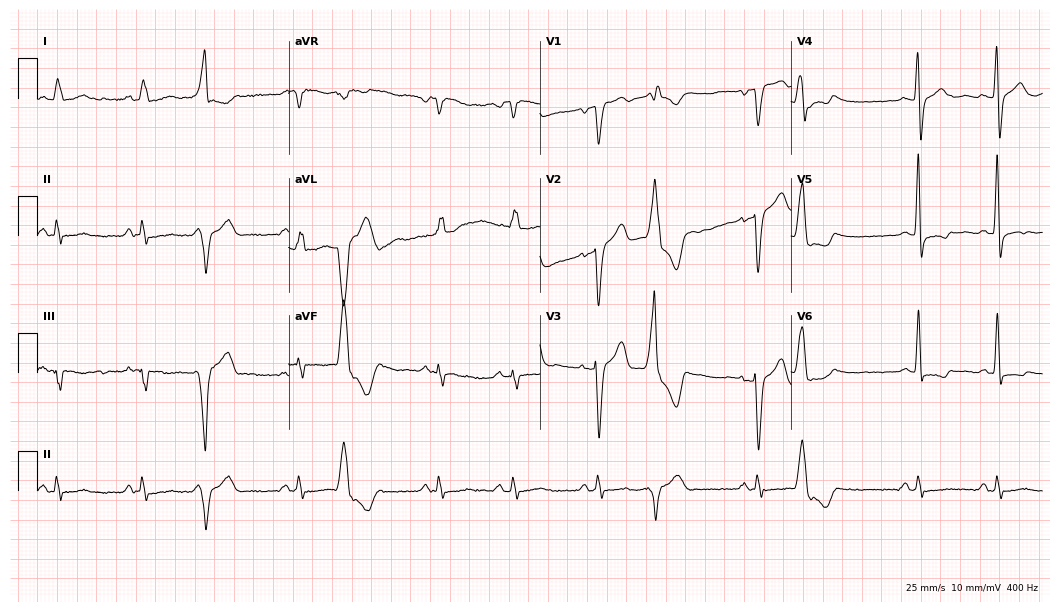
Resting 12-lead electrocardiogram (10.2-second recording at 400 Hz). Patient: a male, 60 years old. None of these six findings is recorded: first-degree AV block, right bundle branch block, left bundle branch block, sinus bradycardia, atrial fibrillation, sinus tachycardia. Only these six findings were labelled.